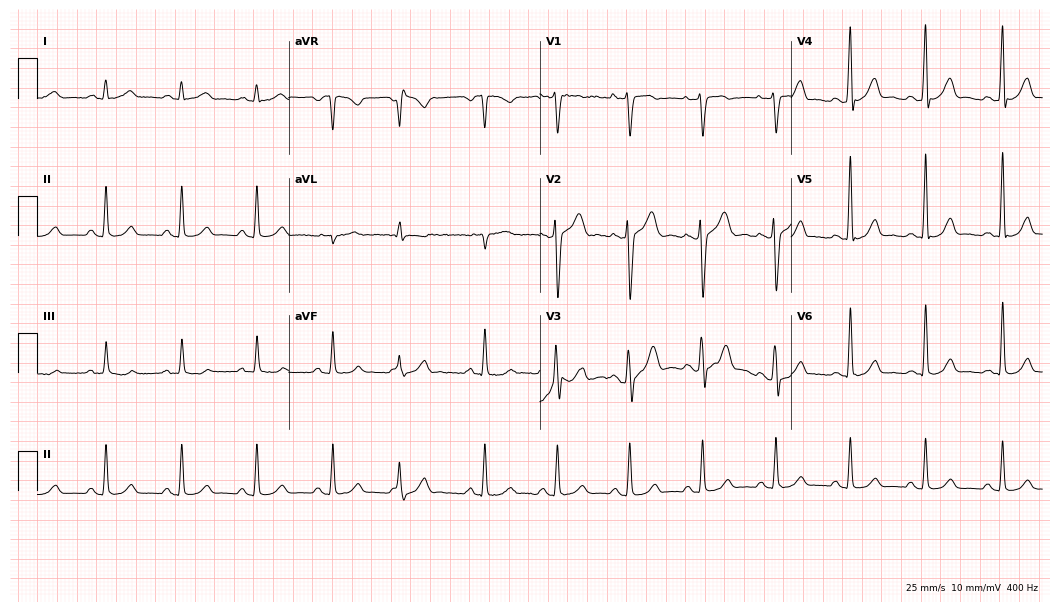
12-lead ECG from a 50-year-old male (10.2-second recording at 400 Hz). Recorded interpretation: within normal limits.